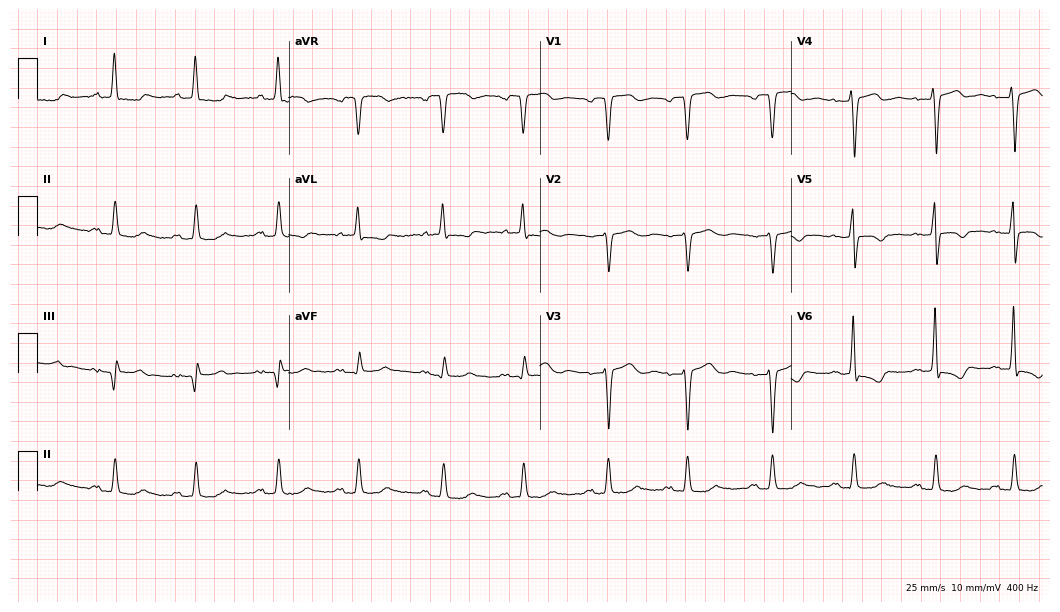
ECG — a female patient, 85 years old. Screened for six findings — first-degree AV block, right bundle branch block, left bundle branch block, sinus bradycardia, atrial fibrillation, sinus tachycardia — none is recorded.